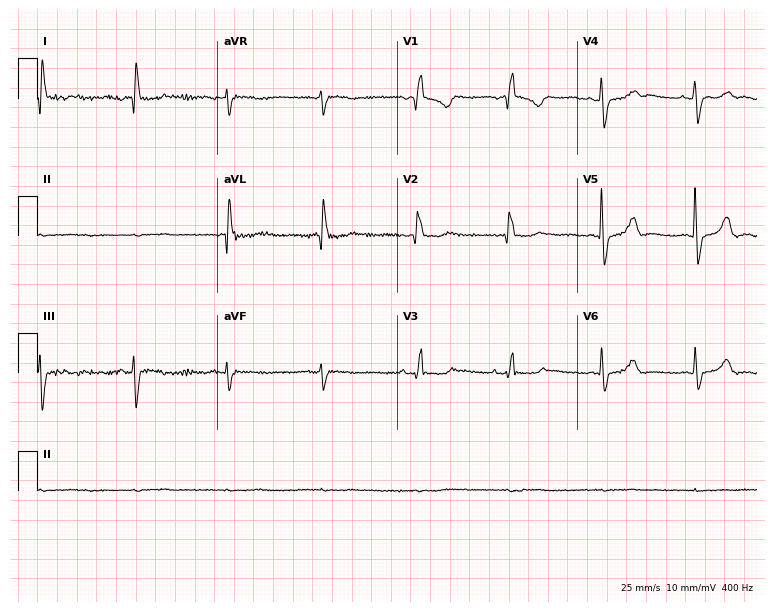
Resting 12-lead electrocardiogram (7.3-second recording at 400 Hz). Patient: an 82-year-old female. None of these six findings is recorded: first-degree AV block, right bundle branch block, left bundle branch block, sinus bradycardia, atrial fibrillation, sinus tachycardia.